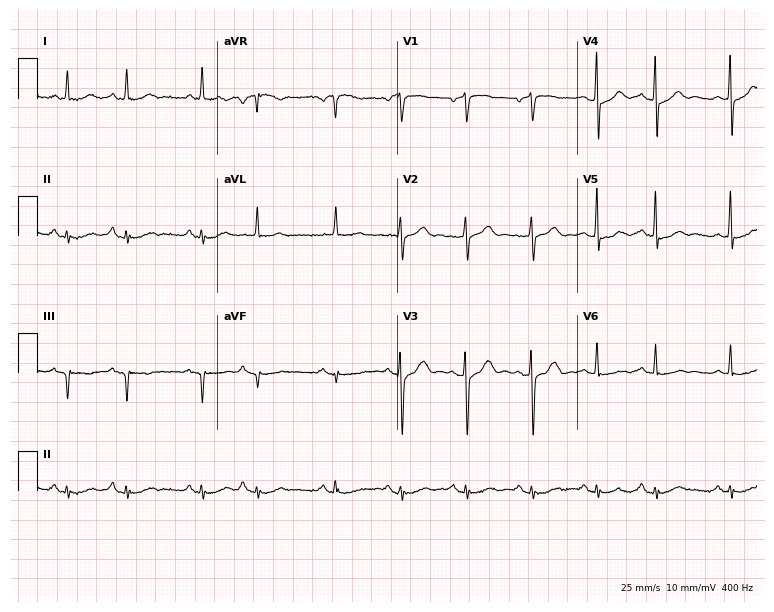
Resting 12-lead electrocardiogram (7.3-second recording at 400 Hz). Patient: a 77-year-old male. None of these six findings is recorded: first-degree AV block, right bundle branch block, left bundle branch block, sinus bradycardia, atrial fibrillation, sinus tachycardia. Other findings, if any, are not listed.